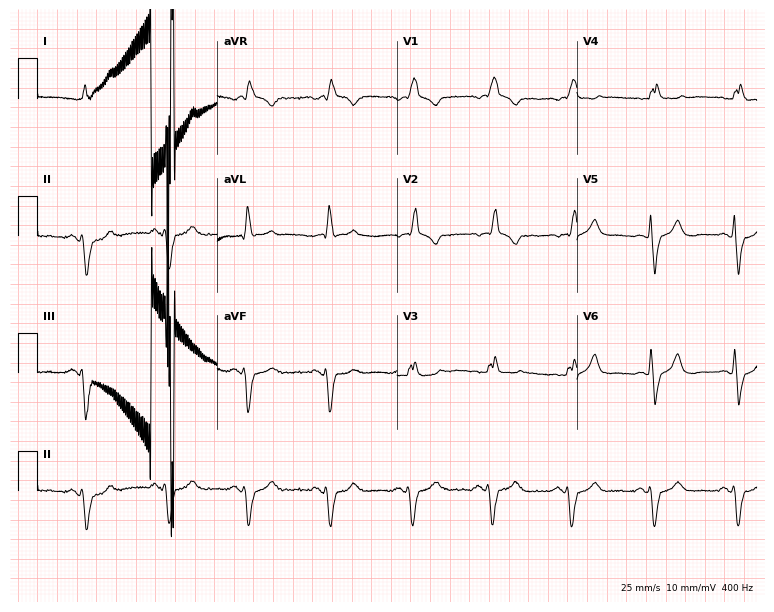
12-lead ECG from a male patient, 75 years old (7.3-second recording at 400 Hz). Shows right bundle branch block (RBBB).